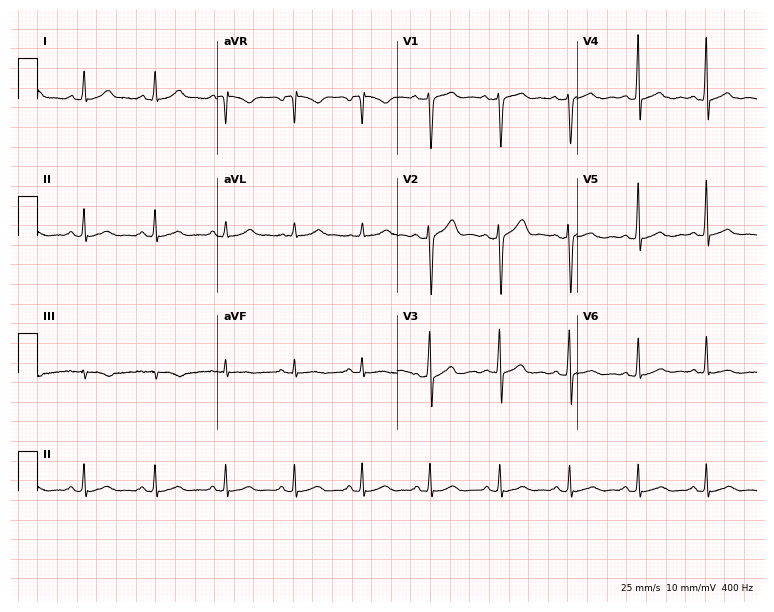
Electrocardiogram (7.3-second recording at 400 Hz), a male, 40 years old. Overall reading on record: normal ECG.